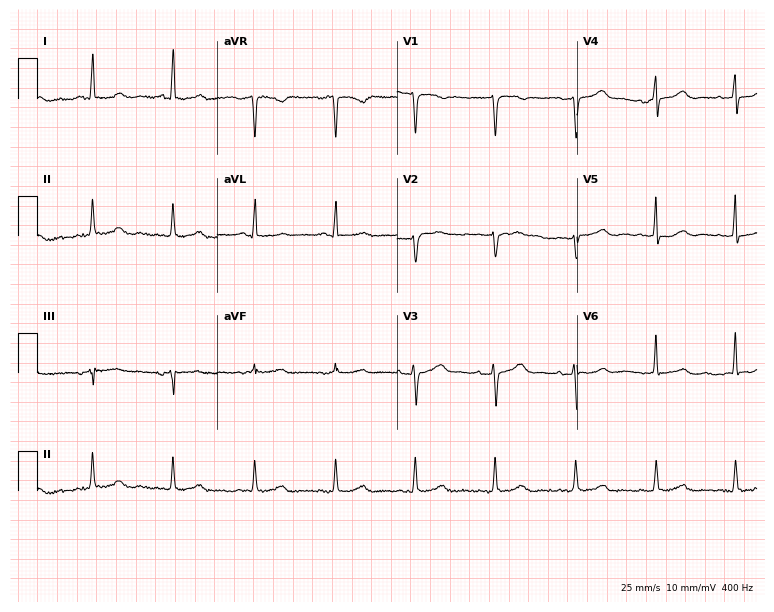
Resting 12-lead electrocardiogram. Patient: a female, 47 years old. Read as a normal ECG.